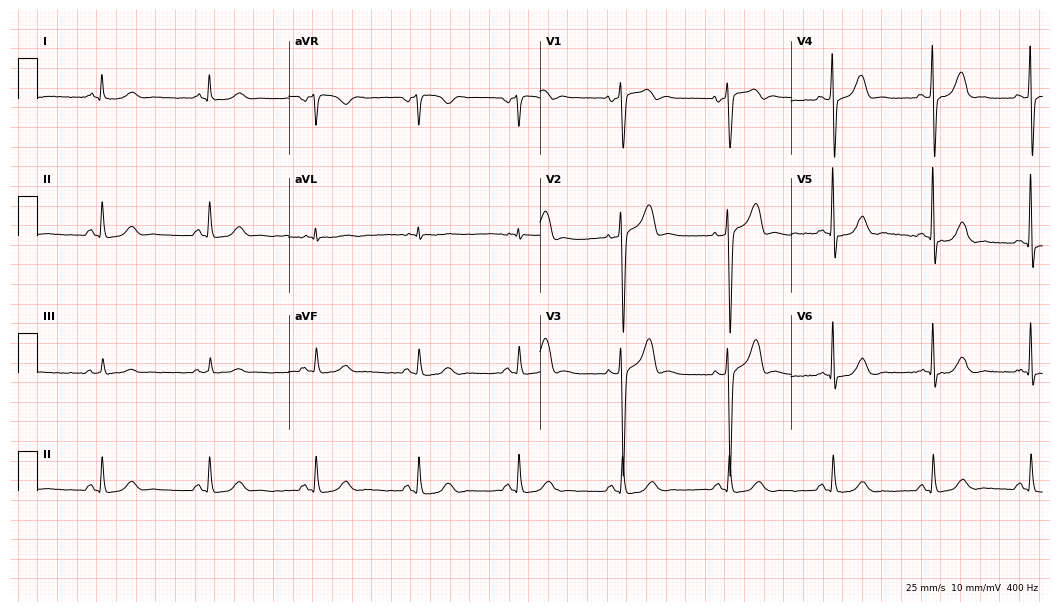
Standard 12-lead ECG recorded from a male patient, 52 years old (10.2-second recording at 400 Hz). None of these six findings is recorded: first-degree AV block, right bundle branch block (RBBB), left bundle branch block (LBBB), sinus bradycardia, atrial fibrillation (AF), sinus tachycardia. Only these six findings were labelled.